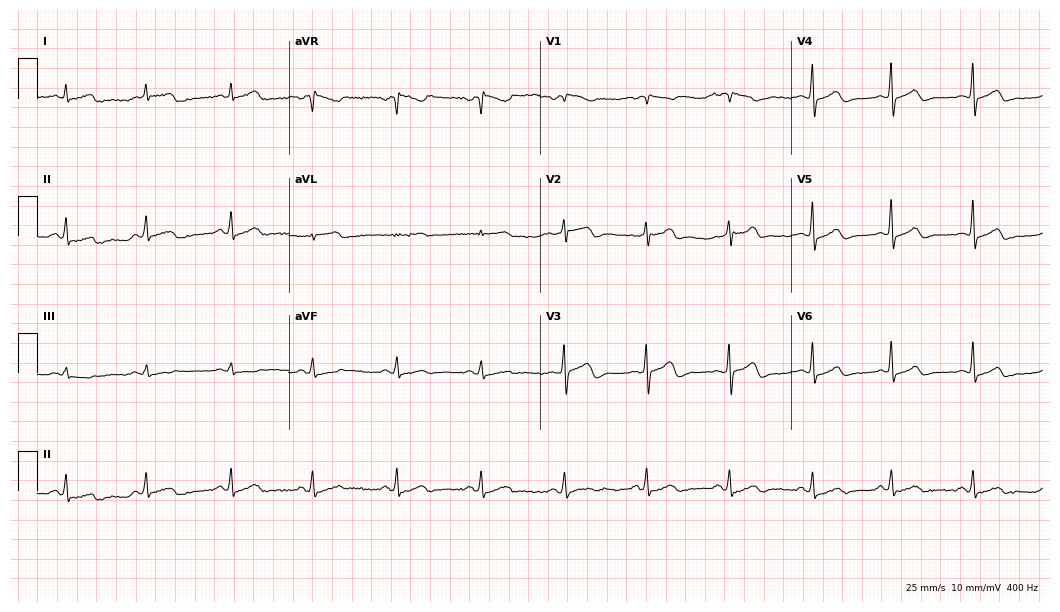
Standard 12-lead ECG recorded from a 42-year-old female (10.2-second recording at 400 Hz). Read as a normal ECG.